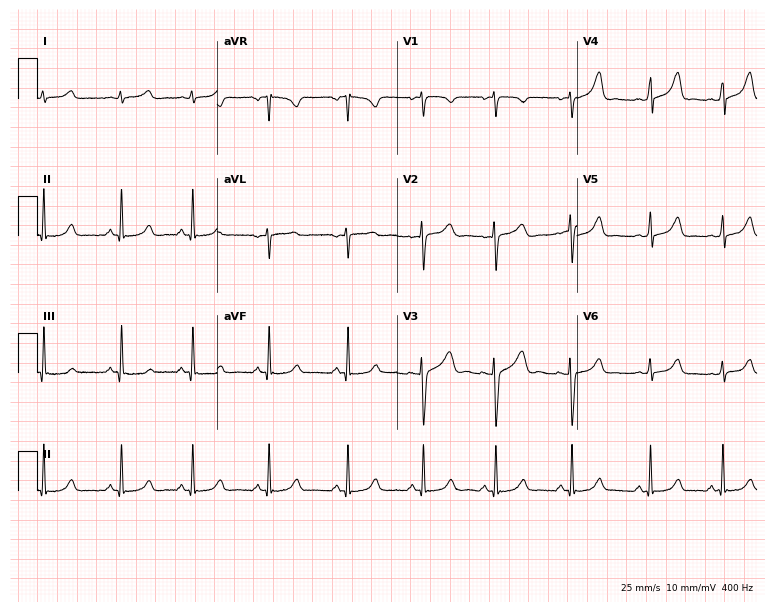
Resting 12-lead electrocardiogram (7.3-second recording at 400 Hz). Patient: a woman, 26 years old. Read as a normal ECG.